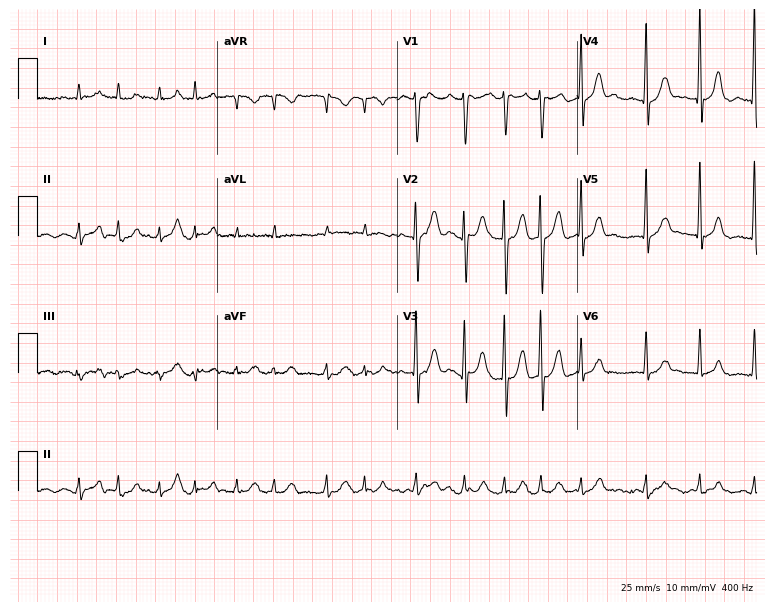
Electrocardiogram (7.3-second recording at 400 Hz), an 83-year-old male. Interpretation includes atrial fibrillation, sinus tachycardia (a sinus rate of 100 beats per minute or more).